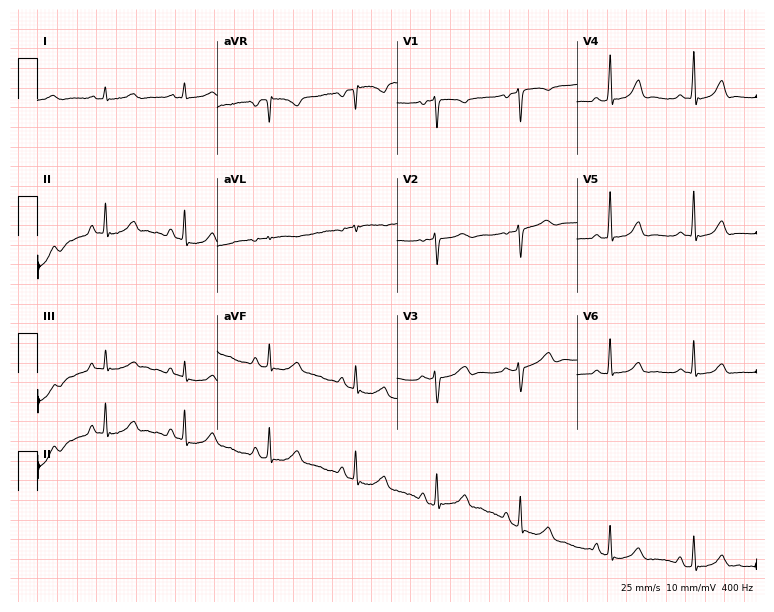
Resting 12-lead electrocardiogram (7.3-second recording at 400 Hz). Patient: a woman, 30 years old. None of these six findings is recorded: first-degree AV block, right bundle branch block, left bundle branch block, sinus bradycardia, atrial fibrillation, sinus tachycardia.